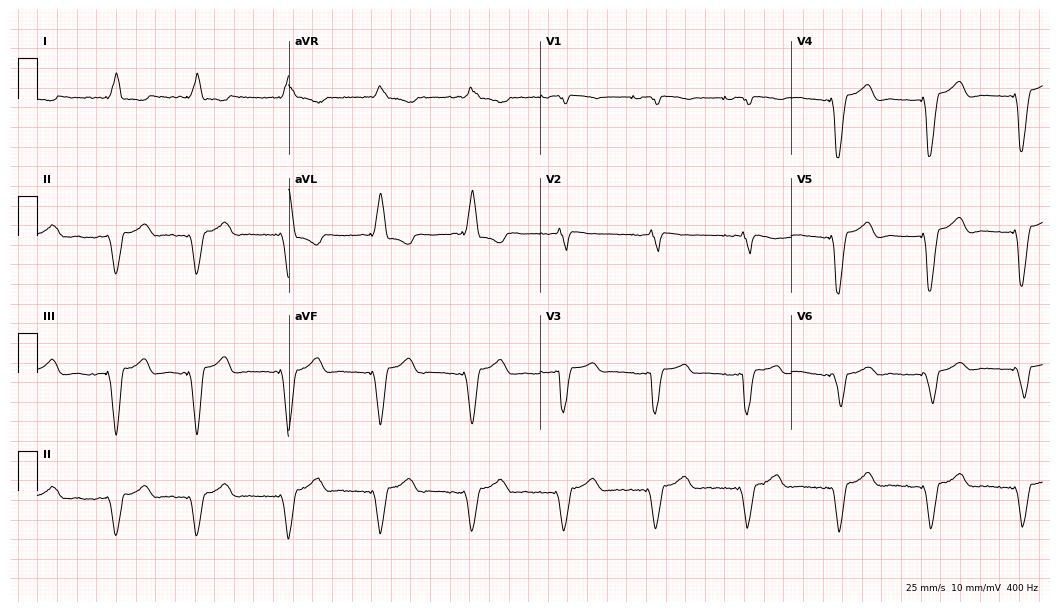
12-lead ECG from a 38-year-old female. No first-degree AV block, right bundle branch block (RBBB), left bundle branch block (LBBB), sinus bradycardia, atrial fibrillation (AF) or sinus tachycardia recorded for this tracing.